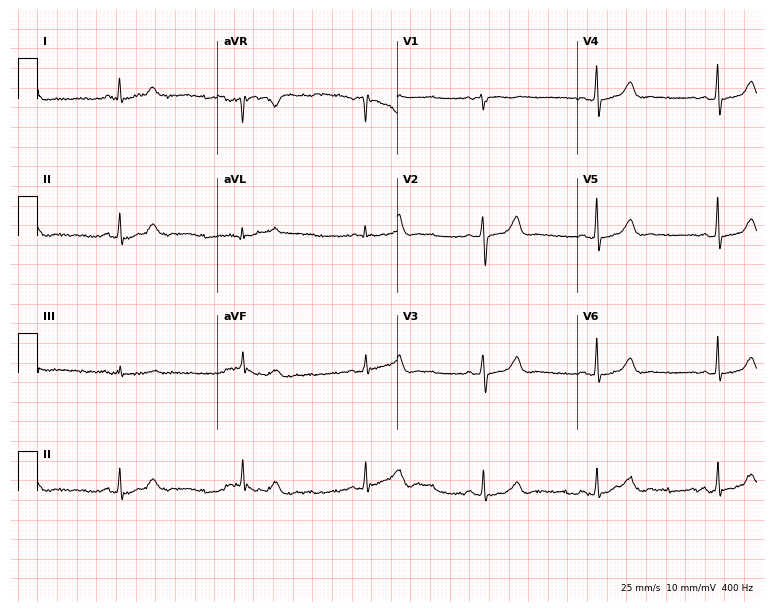
12-lead ECG (7.3-second recording at 400 Hz) from a woman, 70 years old. Findings include sinus bradycardia (a sinus rate of 50 beats per minute or less).